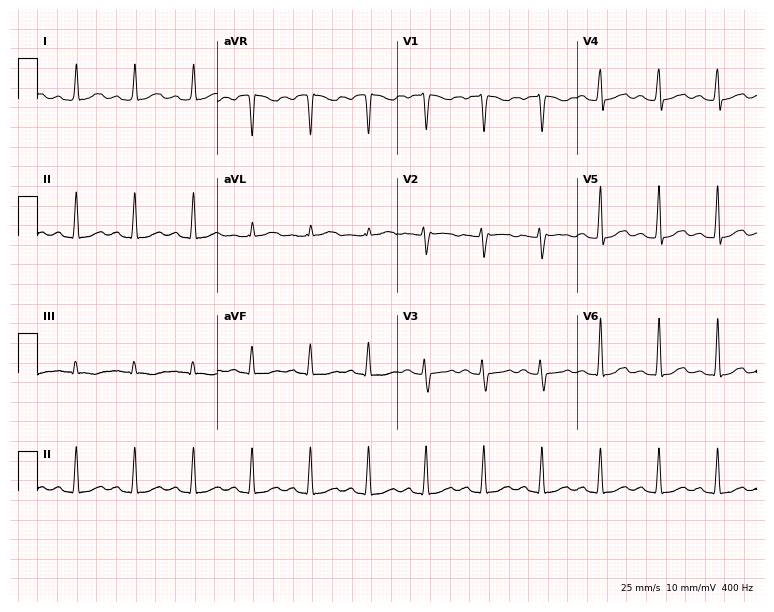
12-lead ECG from a female, 52 years old. No first-degree AV block, right bundle branch block (RBBB), left bundle branch block (LBBB), sinus bradycardia, atrial fibrillation (AF) or sinus tachycardia recorded for this tracing.